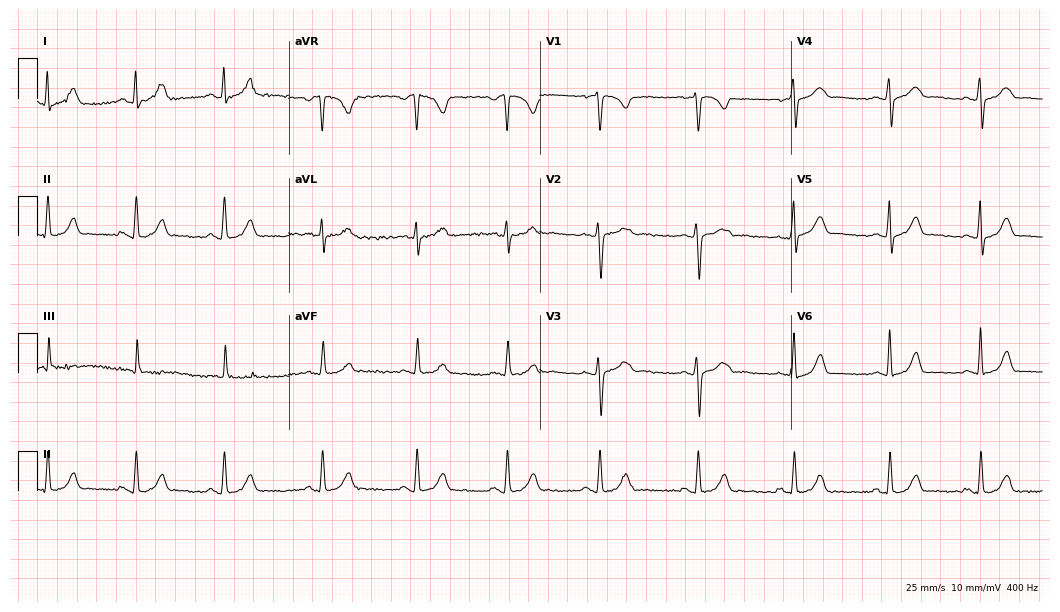
Resting 12-lead electrocardiogram. Patient: a 20-year-old female. Read as a normal ECG.